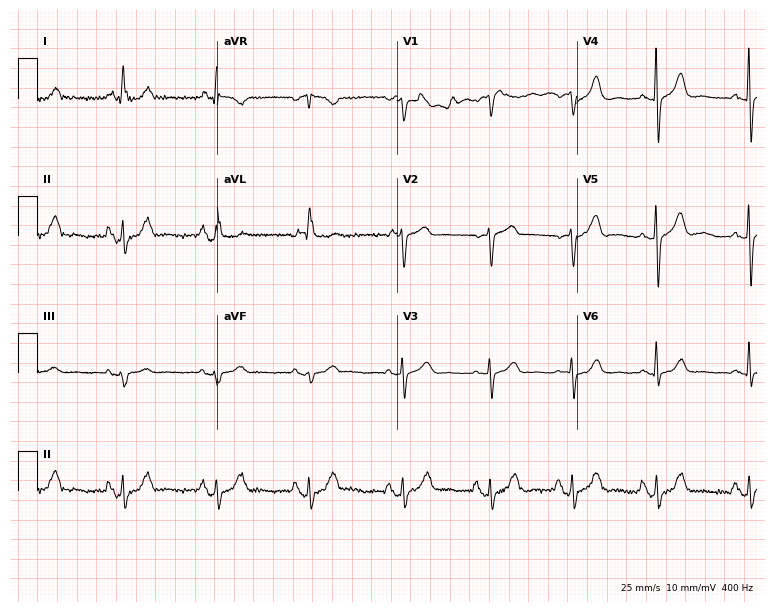
Resting 12-lead electrocardiogram. Patient: a 75-year-old female. None of these six findings is recorded: first-degree AV block, right bundle branch block, left bundle branch block, sinus bradycardia, atrial fibrillation, sinus tachycardia. Other findings, if any, are not listed.